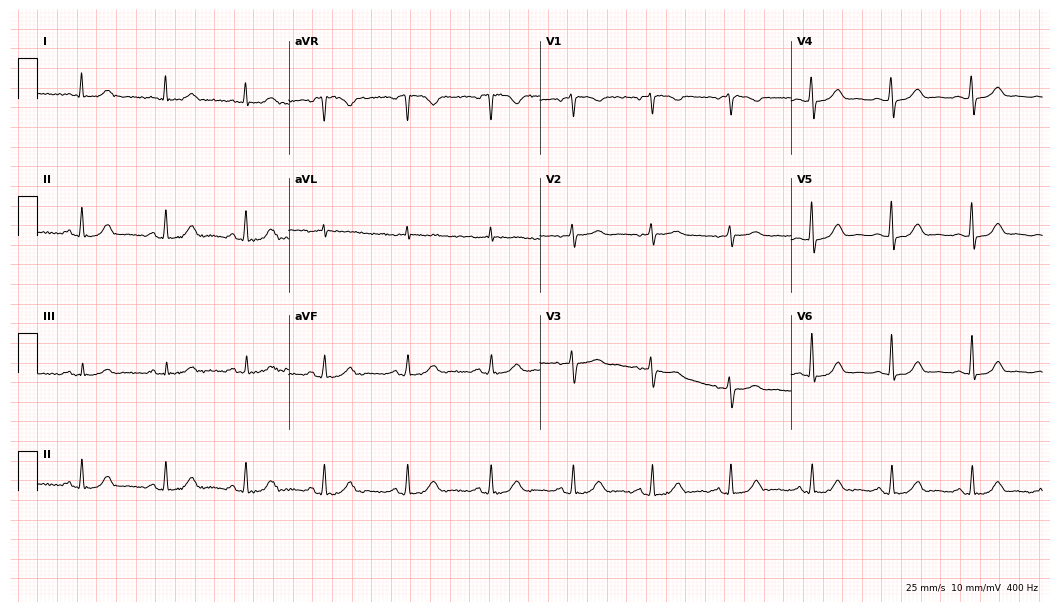
12-lead ECG from a 58-year-old female patient (10.2-second recording at 400 Hz). Recorded interpretation: within normal limits.